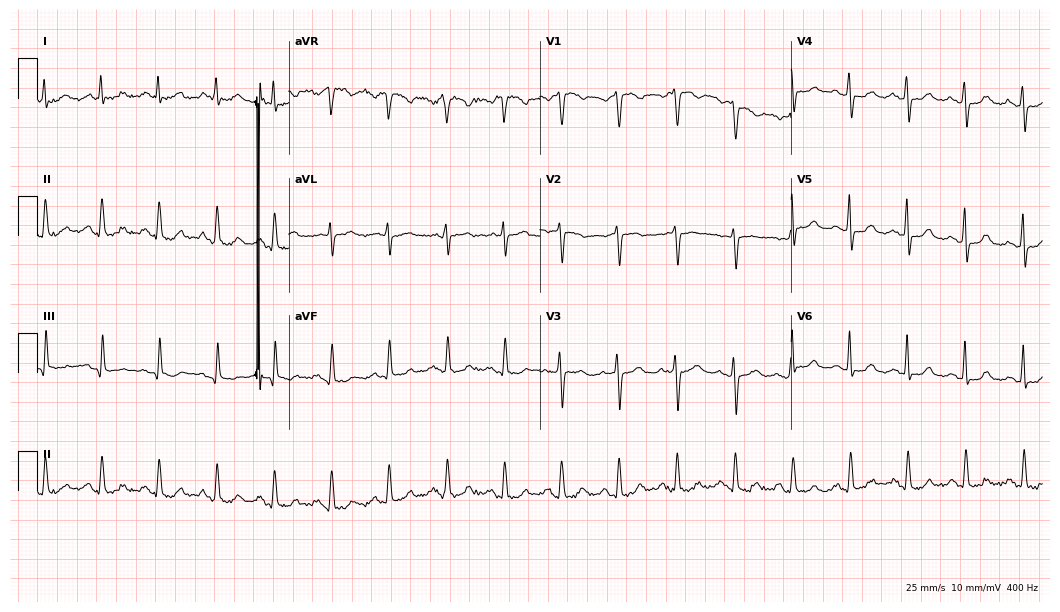
12-lead ECG from a 62-year-old female patient (10.2-second recording at 400 Hz). Shows sinus tachycardia (a sinus rate of 100 beats per minute or more).